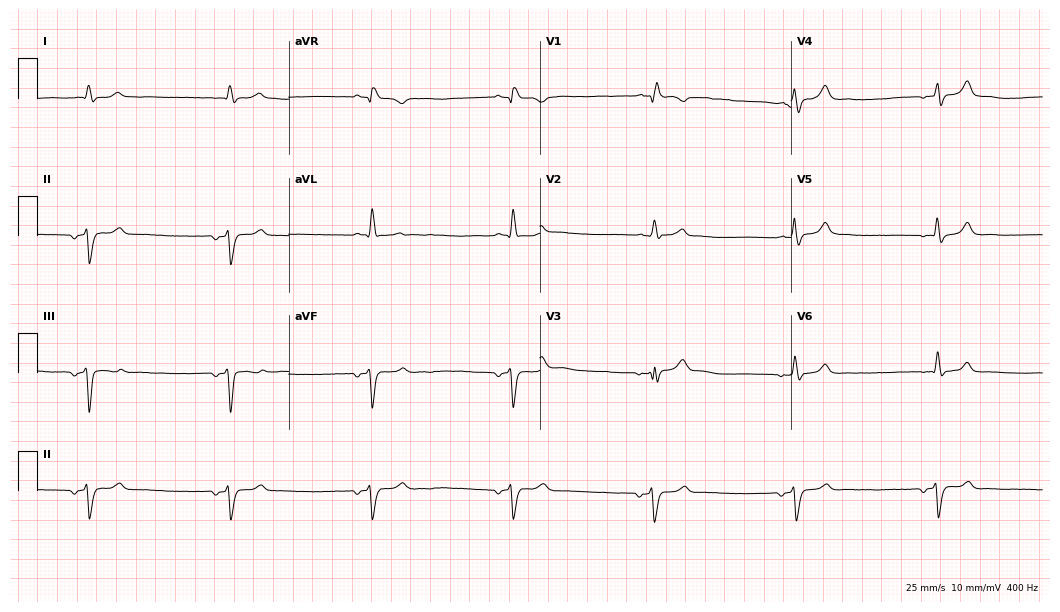
12-lead ECG from a 61-year-old male patient. Shows right bundle branch block, sinus bradycardia (a sinus rate of 50 beats per minute or less).